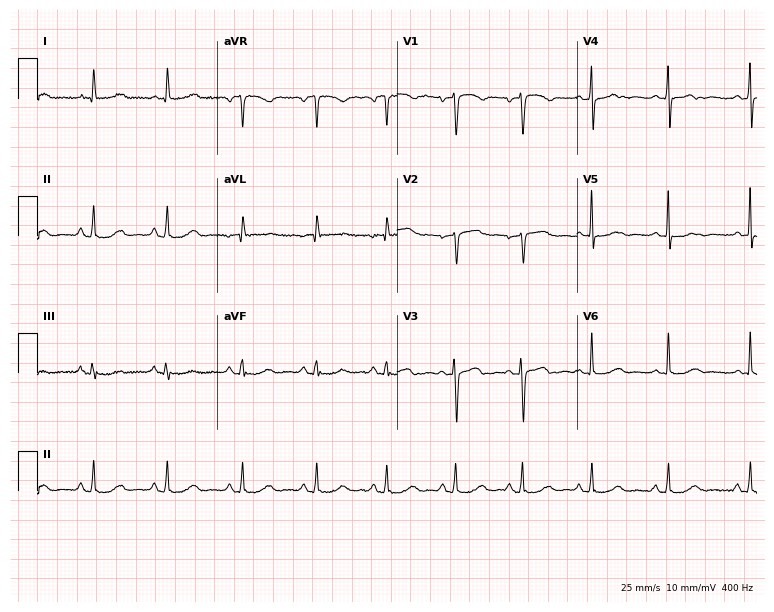
Standard 12-lead ECG recorded from a female patient, 51 years old. None of these six findings is recorded: first-degree AV block, right bundle branch block (RBBB), left bundle branch block (LBBB), sinus bradycardia, atrial fibrillation (AF), sinus tachycardia. Findings outside these six are not listed.